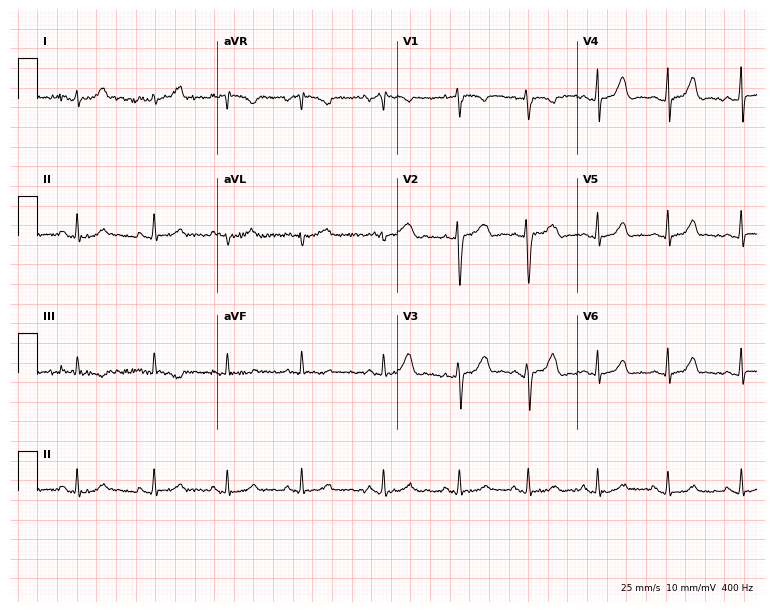
Electrocardiogram (7.3-second recording at 400 Hz), a 20-year-old female patient. Of the six screened findings (first-degree AV block, right bundle branch block, left bundle branch block, sinus bradycardia, atrial fibrillation, sinus tachycardia), none is recorded.